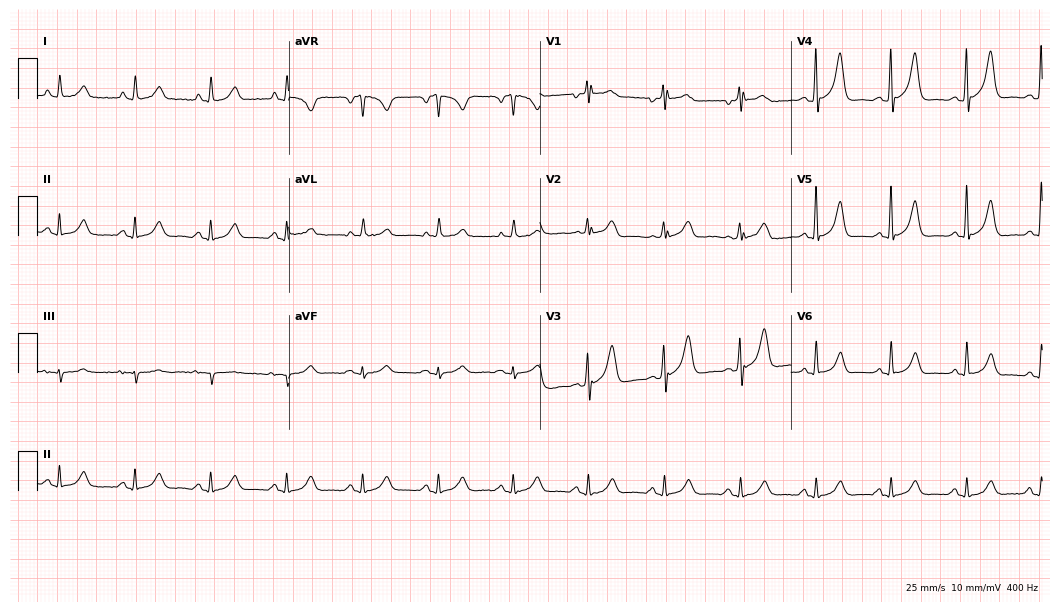
ECG (10.2-second recording at 400 Hz) — an 84-year-old female. Screened for six findings — first-degree AV block, right bundle branch block (RBBB), left bundle branch block (LBBB), sinus bradycardia, atrial fibrillation (AF), sinus tachycardia — none is recorded.